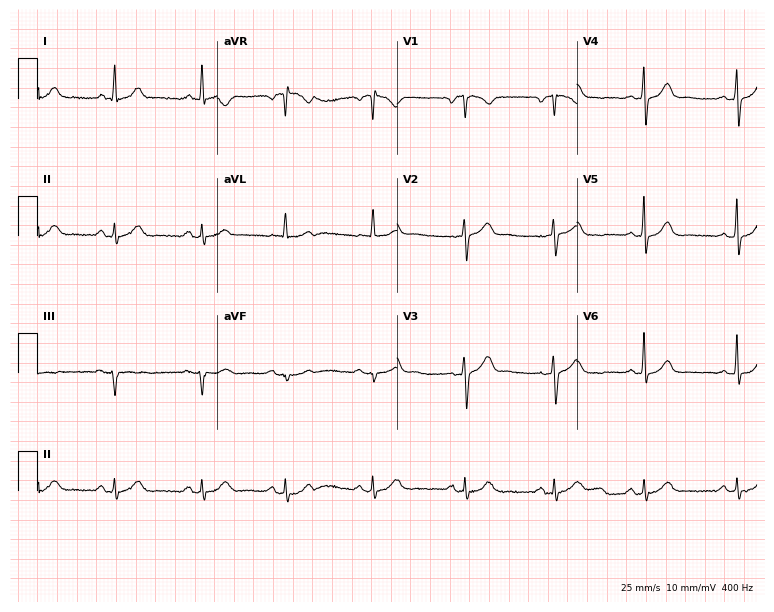
12-lead ECG from a 58-year-old male. No first-degree AV block, right bundle branch block, left bundle branch block, sinus bradycardia, atrial fibrillation or sinus tachycardia recorded for this tracing.